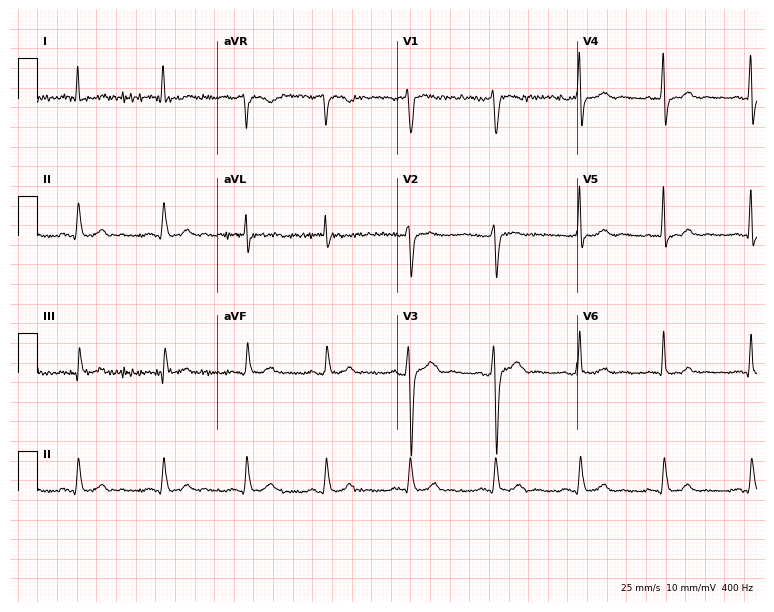
ECG — a 48-year-old man. Screened for six findings — first-degree AV block, right bundle branch block (RBBB), left bundle branch block (LBBB), sinus bradycardia, atrial fibrillation (AF), sinus tachycardia — none is recorded. Only these six findings were labelled.